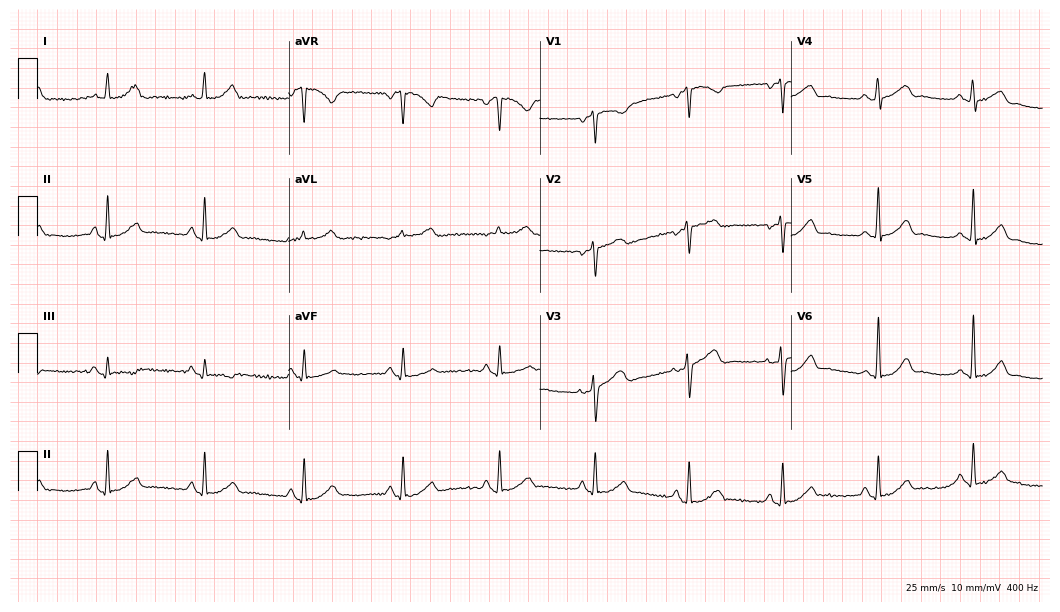
12-lead ECG from a female patient, 55 years old (10.2-second recording at 400 Hz). Recorded interpretation: within normal limits.